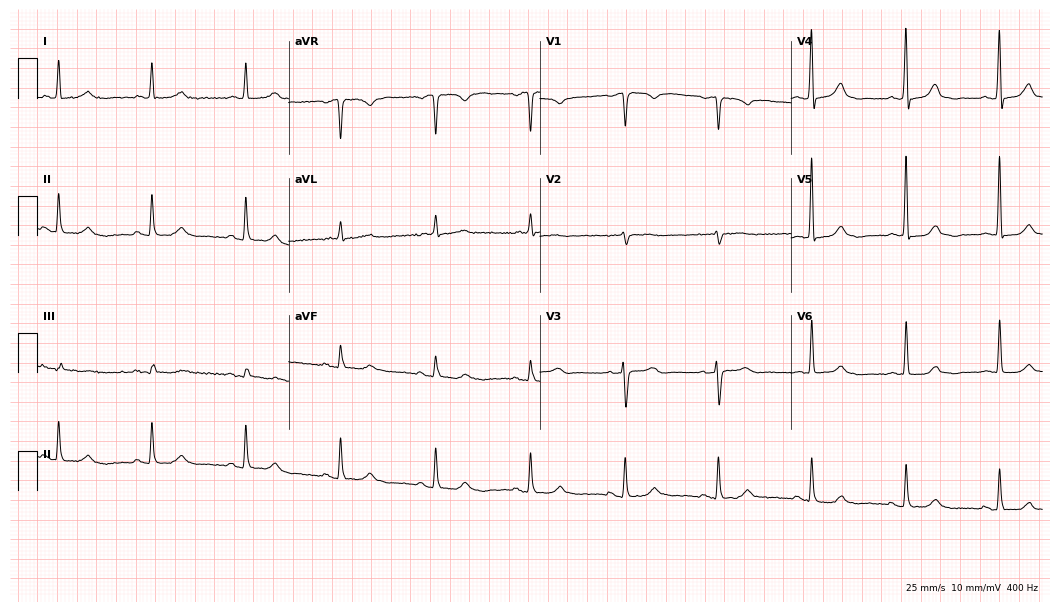
Electrocardiogram, a woman, 72 years old. Overall reading on record: normal ECG.